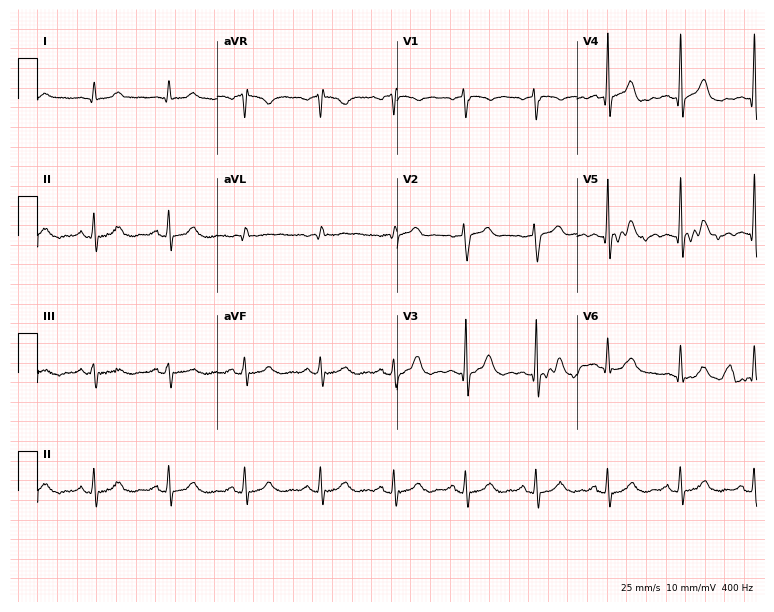
Electrocardiogram, a male, 64 years old. Of the six screened findings (first-degree AV block, right bundle branch block, left bundle branch block, sinus bradycardia, atrial fibrillation, sinus tachycardia), none is recorded. Findings outside these six are not listed.